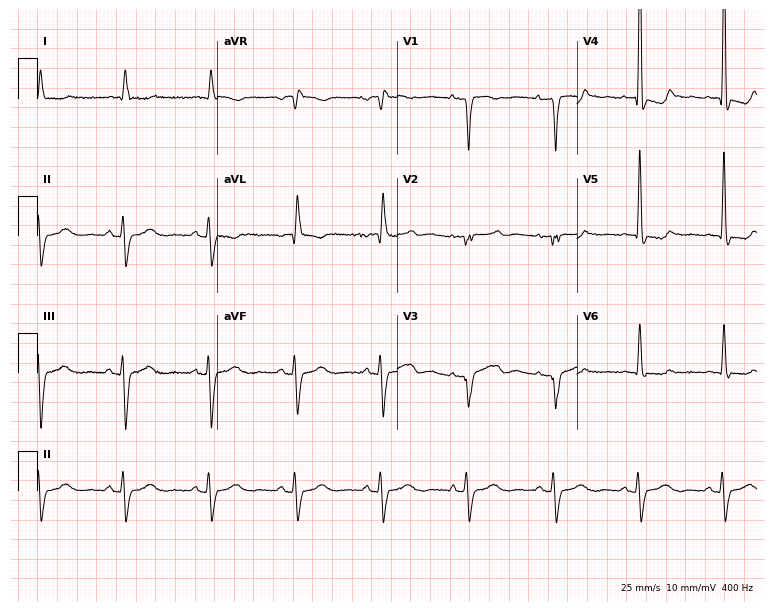
12-lead ECG from a female patient, 71 years old. Screened for six findings — first-degree AV block, right bundle branch block, left bundle branch block, sinus bradycardia, atrial fibrillation, sinus tachycardia — none is recorded.